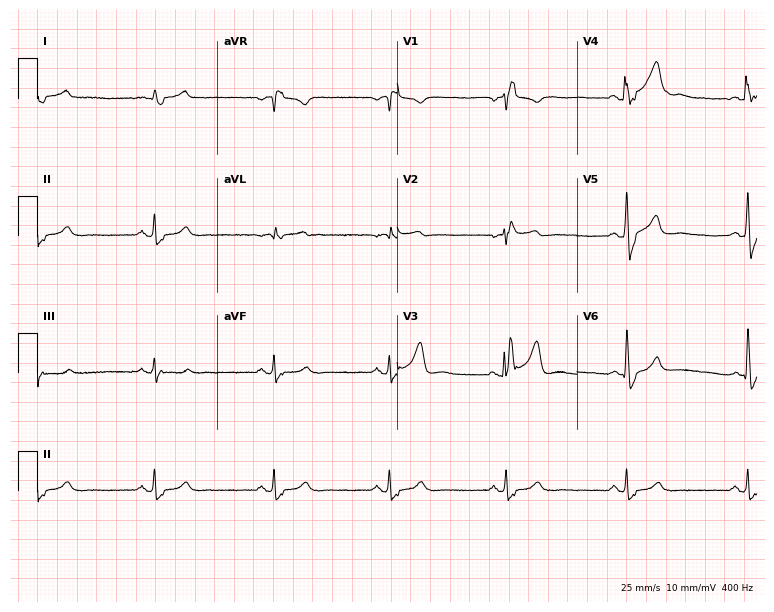
Standard 12-lead ECG recorded from a male patient, 64 years old. The tracing shows right bundle branch block, sinus bradycardia (a sinus rate of 50 beats per minute or less).